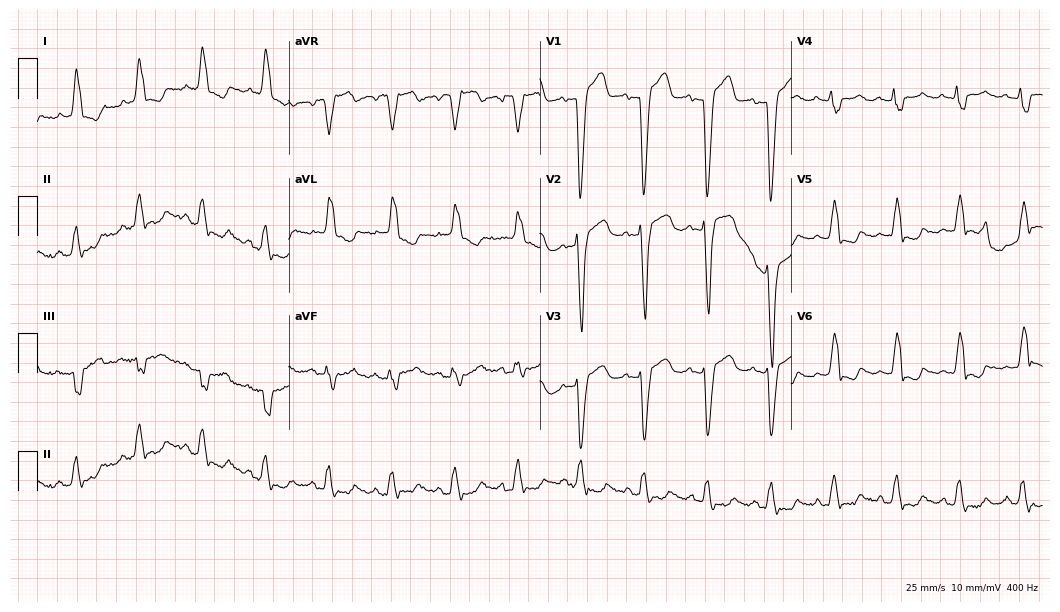
Electrocardiogram (10.2-second recording at 400 Hz), a female, 77 years old. Interpretation includes left bundle branch block.